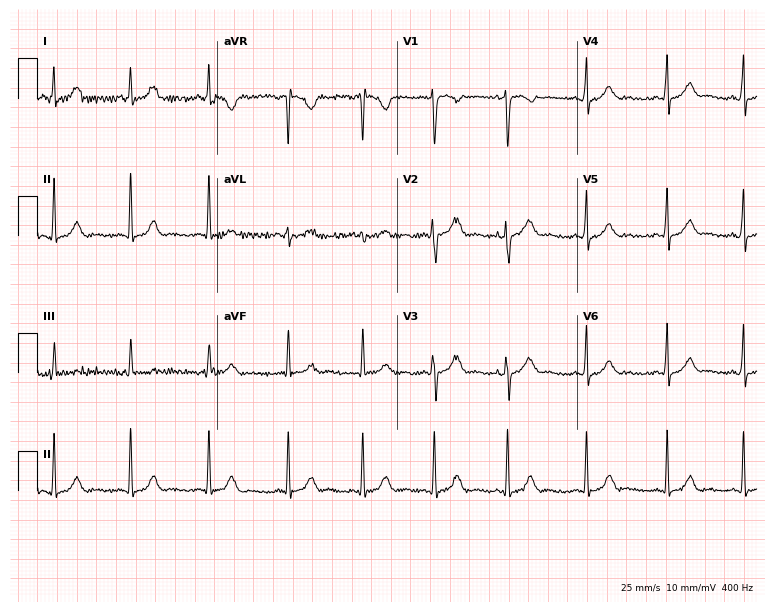
Electrocardiogram, a 19-year-old female. Of the six screened findings (first-degree AV block, right bundle branch block, left bundle branch block, sinus bradycardia, atrial fibrillation, sinus tachycardia), none is recorded. Only these six findings were labelled.